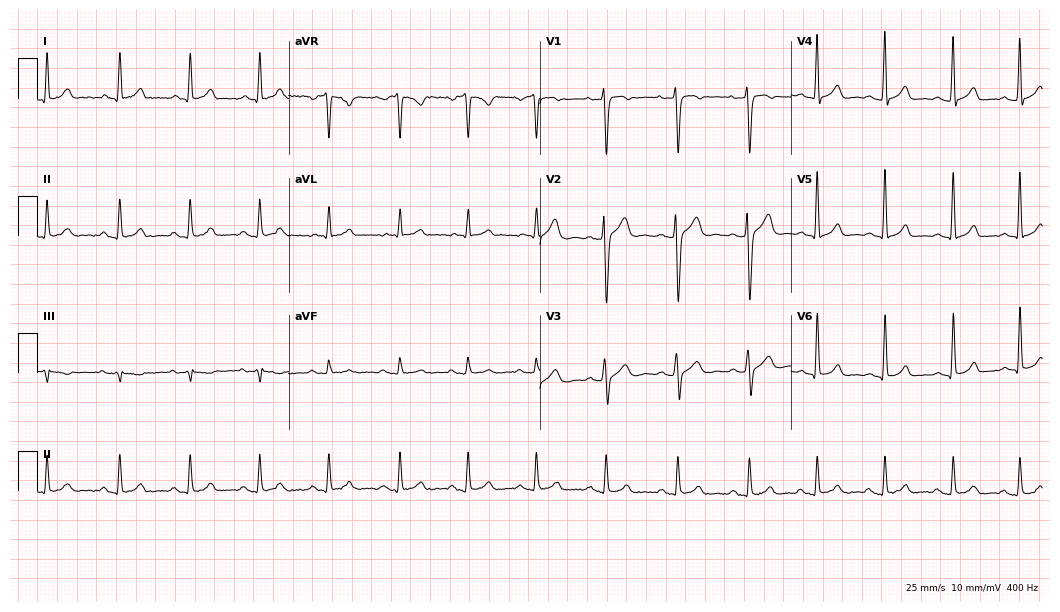
ECG — a male, 32 years old. Labelled as a normal ECG.